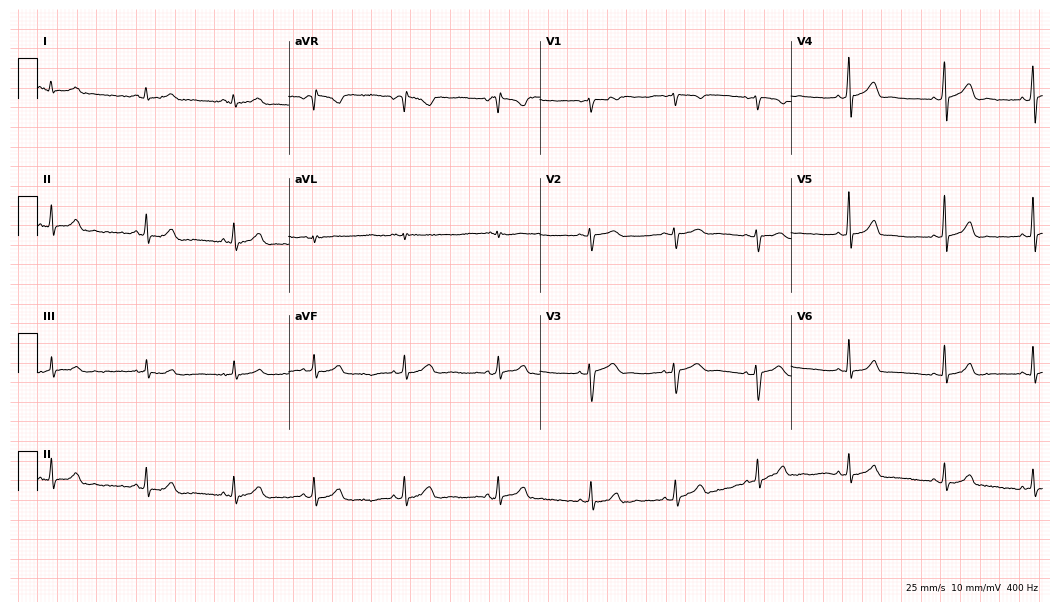
12-lead ECG from a 23-year-old female. Recorded interpretation: within normal limits.